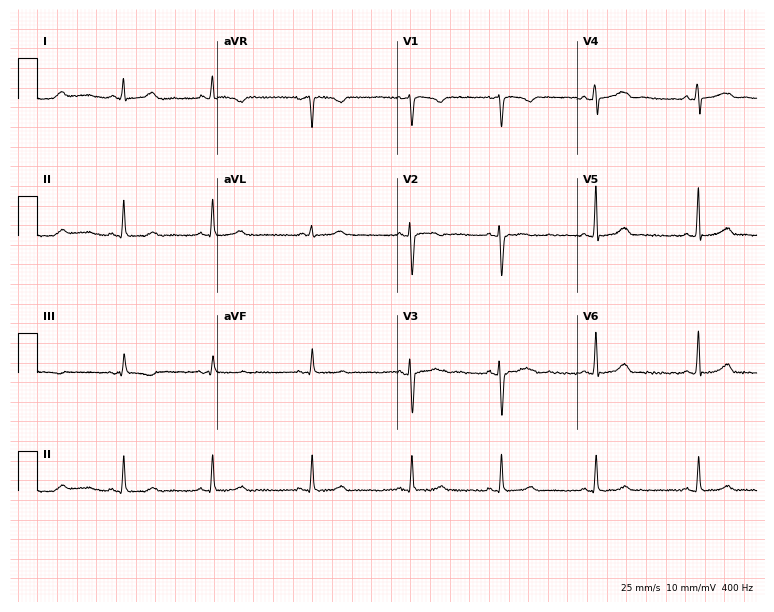
12-lead ECG (7.3-second recording at 400 Hz) from a 32-year-old woman. Screened for six findings — first-degree AV block, right bundle branch block (RBBB), left bundle branch block (LBBB), sinus bradycardia, atrial fibrillation (AF), sinus tachycardia — none is recorded. Only these six findings were labelled.